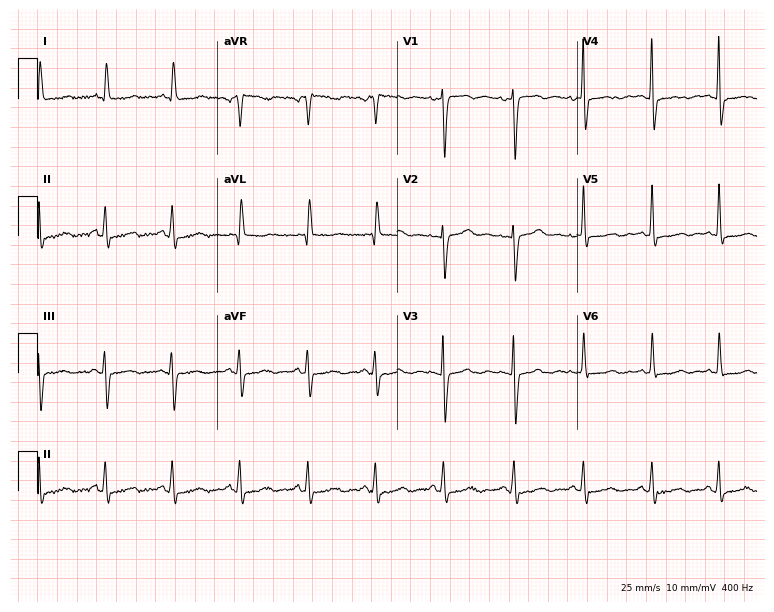
Standard 12-lead ECG recorded from a 68-year-old female patient. None of these six findings is recorded: first-degree AV block, right bundle branch block, left bundle branch block, sinus bradycardia, atrial fibrillation, sinus tachycardia. Findings outside these six are not listed.